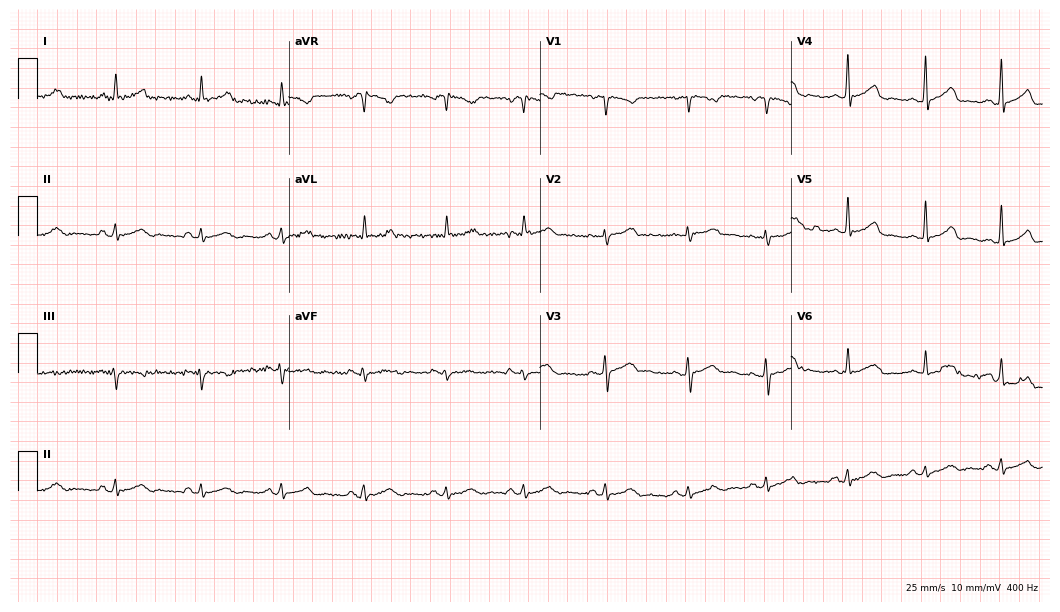
12-lead ECG from a female, 32 years old (10.2-second recording at 400 Hz). Recorded interpretation: within normal limits.